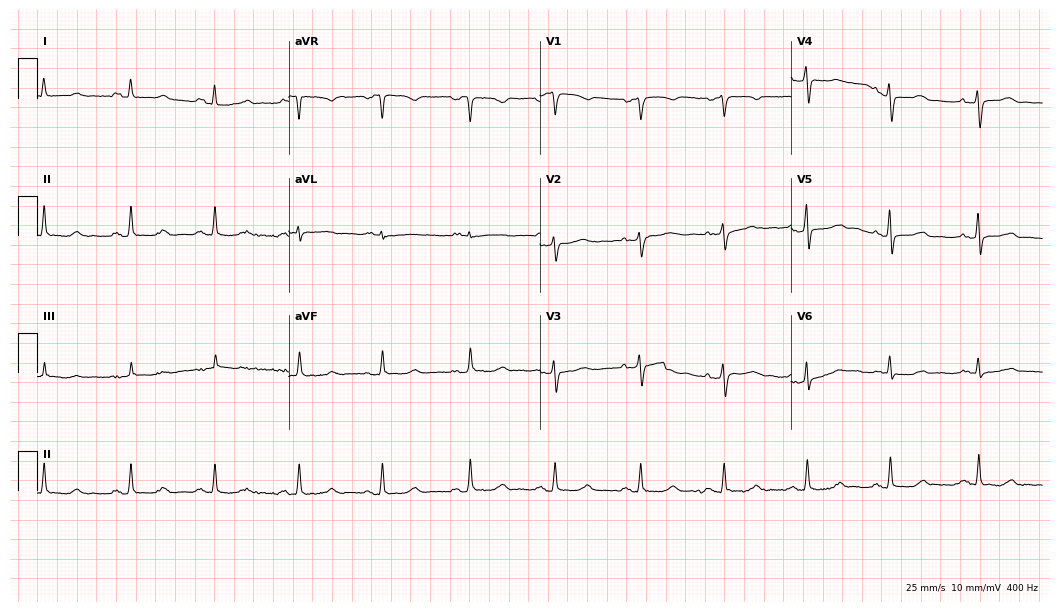
ECG — a 54-year-old female patient. Screened for six findings — first-degree AV block, right bundle branch block, left bundle branch block, sinus bradycardia, atrial fibrillation, sinus tachycardia — none is recorded.